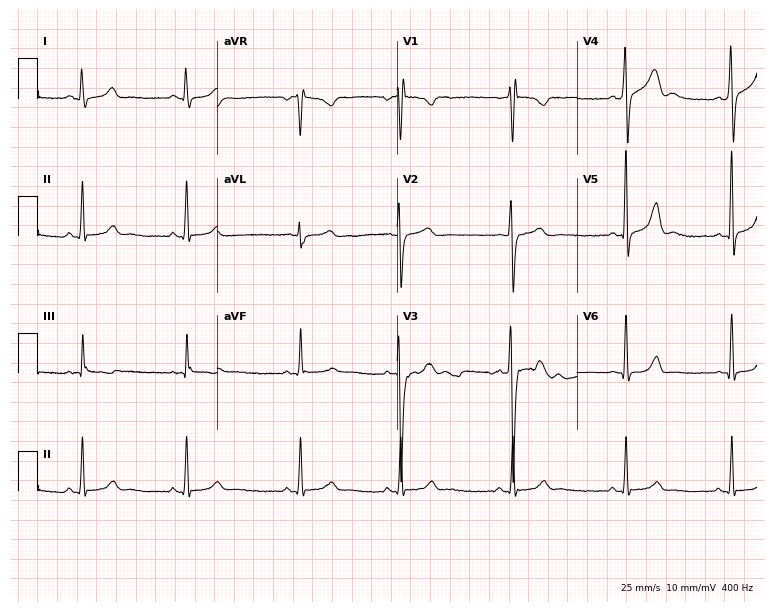
Resting 12-lead electrocardiogram. Patient: a male, 19 years old. None of these six findings is recorded: first-degree AV block, right bundle branch block, left bundle branch block, sinus bradycardia, atrial fibrillation, sinus tachycardia.